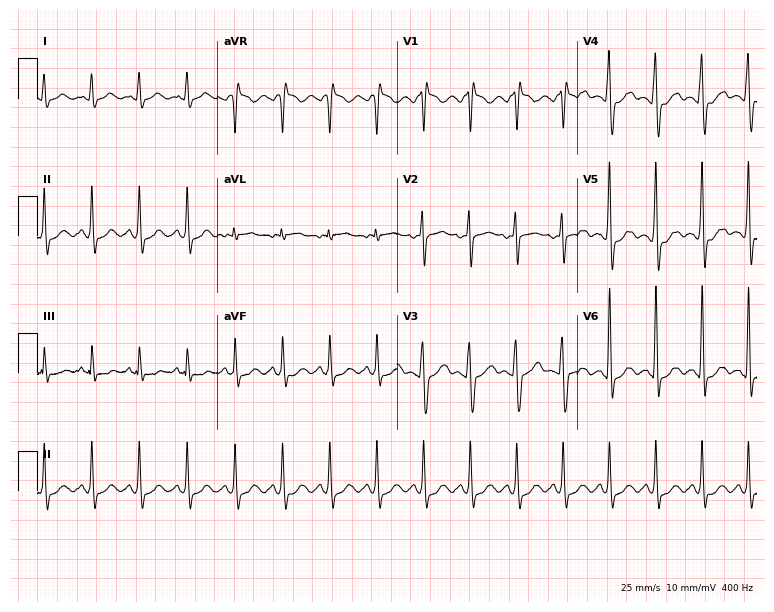
ECG (7.3-second recording at 400 Hz) — a male patient, 23 years old. Findings include sinus tachycardia (a sinus rate of 100 beats per minute or more).